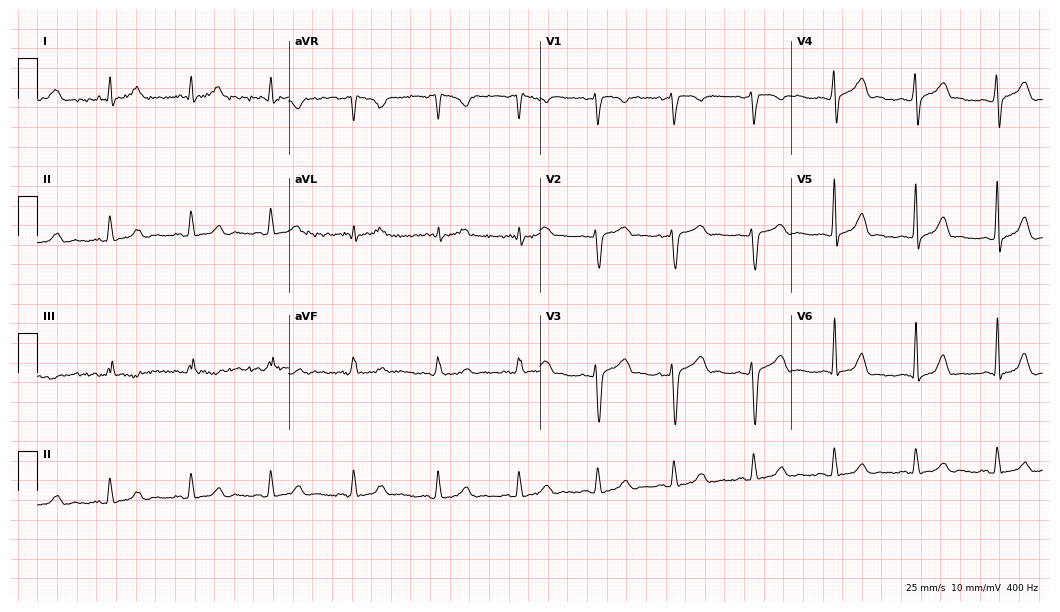
12-lead ECG from a 39-year-old male patient. Recorded interpretation: within normal limits.